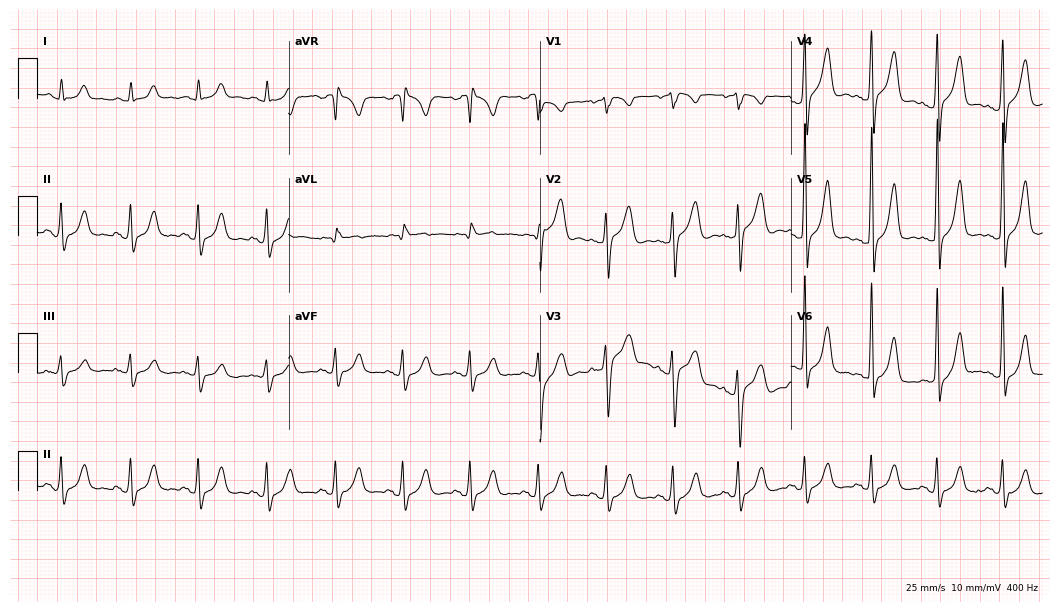
Standard 12-lead ECG recorded from a male patient, 59 years old. Read as a normal ECG.